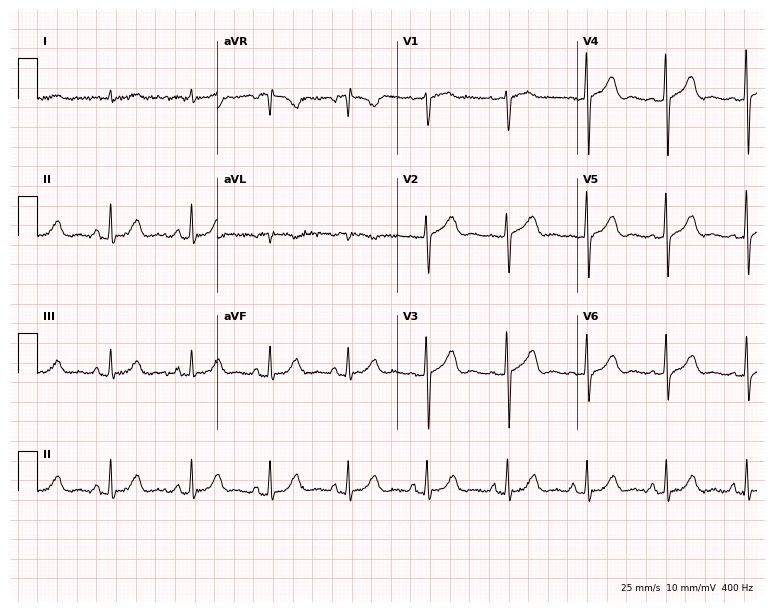
Electrocardiogram, a 75-year-old male patient. Overall reading on record: normal ECG.